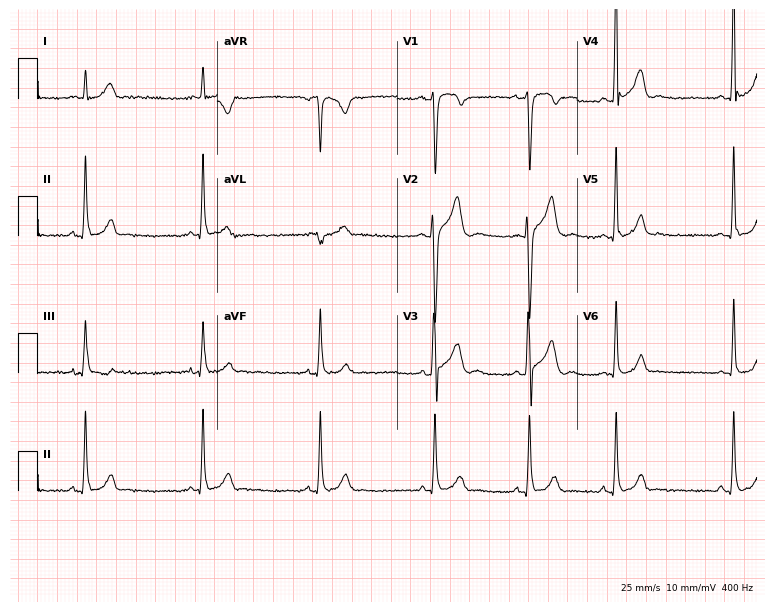
Resting 12-lead electrocardiogram. Patient: a 22-year-old man. None of these six findings is recorded: first-degree AV block, right bundle branch block, left bundle branch block, sinus bradycardia, atrial fibrillation, sinus tachycardia. Only these six findings were labelled.